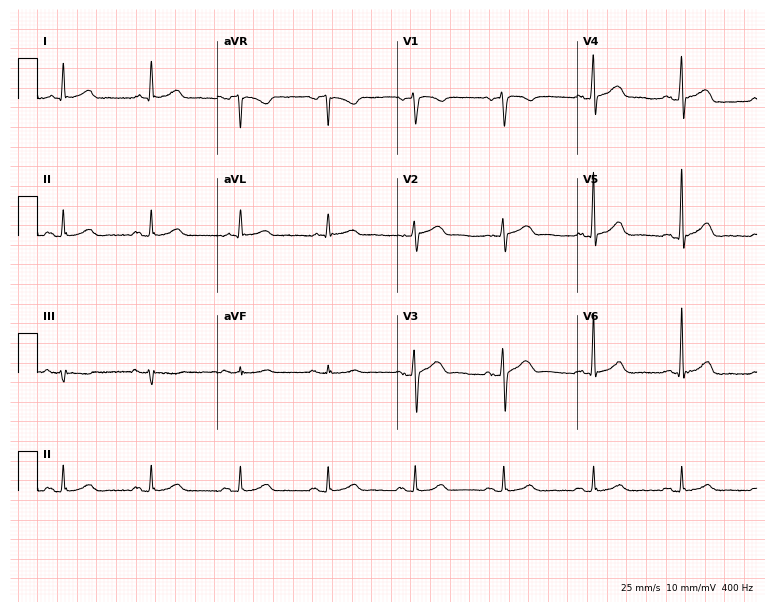
Standard 12-lead ECG recorded from a male patient, 67 years old (7.3-second recording at 400 Hz). Read as a normal ECG.